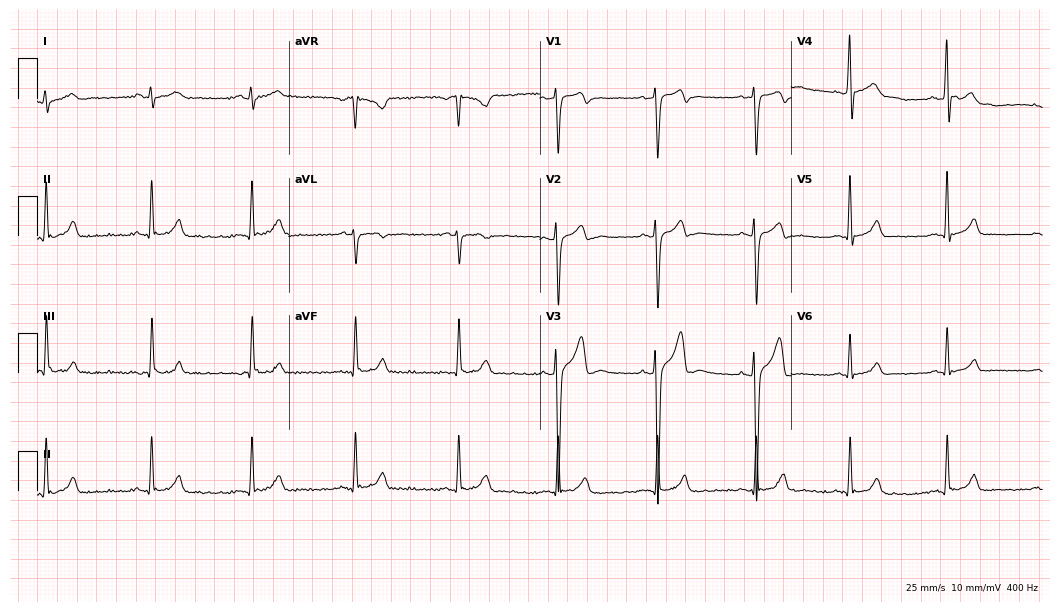
12-lead ECG (10.2-second recording at 400 Hz) from a male patient, 19 years old. Labelled as a normal ECG.